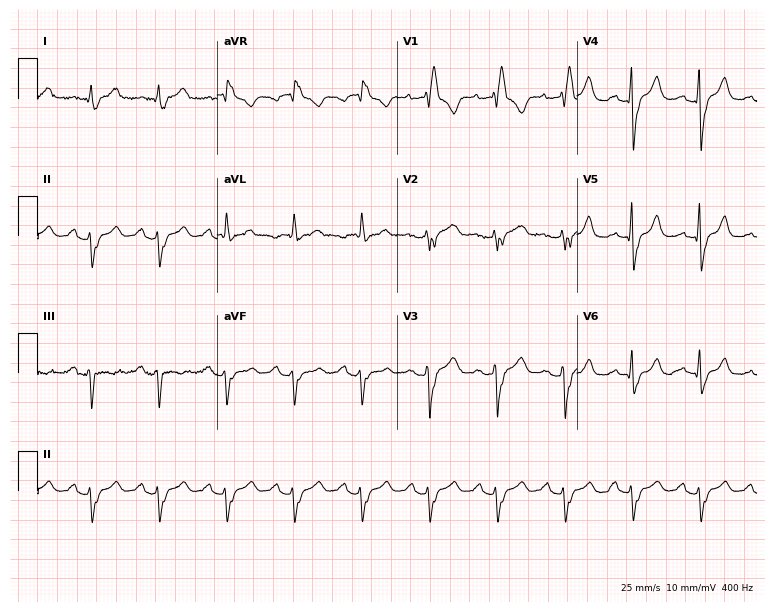
Standard 12-lead ECG recorded from a male, 43 years old (7.3-second recording at 400 Hz). The tracing shows right bundle branch block.